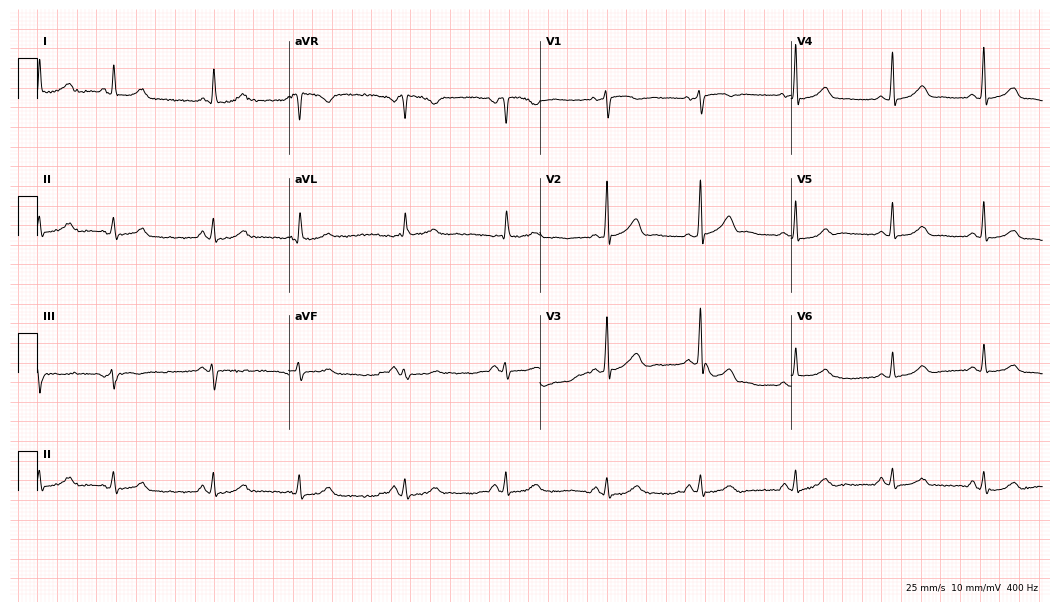
Standard 12-lead ECG recorded from a female, 55 years old (10.2-second recording at 400 Hz). None of these six findings is recorded: first-degree AV block, right bundle branch block, left bundle branch block, sinus bradycardia, atrial fibrillation, sinus tachycardia. Other findings, if any, are not listed.